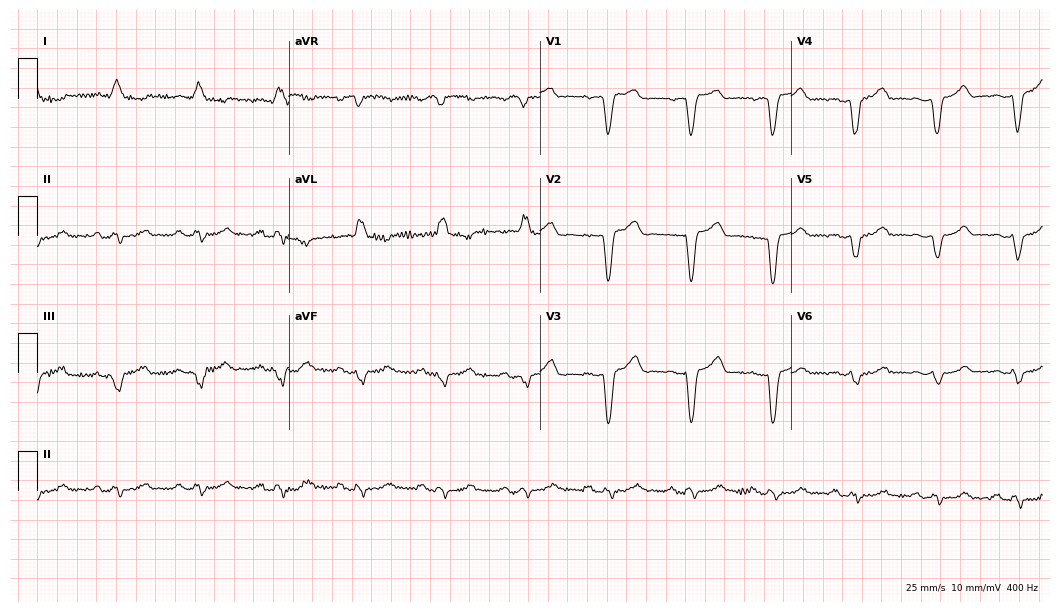
Electrocardiogram (10.2-second recording at 400 Hz), a female patient, 65 years old. Interpretation includes left bundle branch block.